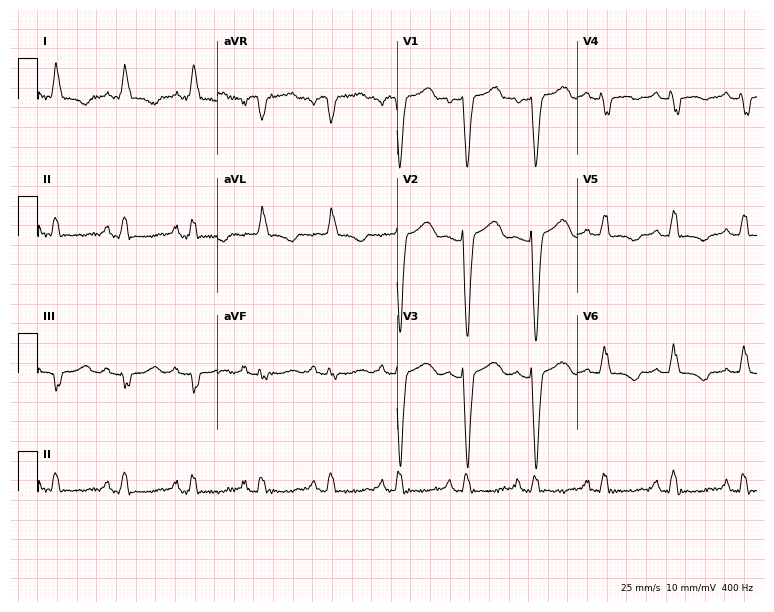
ECG (7.3-second recording at 400 Hz) — a female, 54 years old. Screened for six findings — first-degree AV block, right bundle branch block (RBBB), left bundle branch block (LBBB), sinus bradycardia, atrial fibrillation (AF), sinus tachycardia — none is recorded. Only these six findings were labelled.